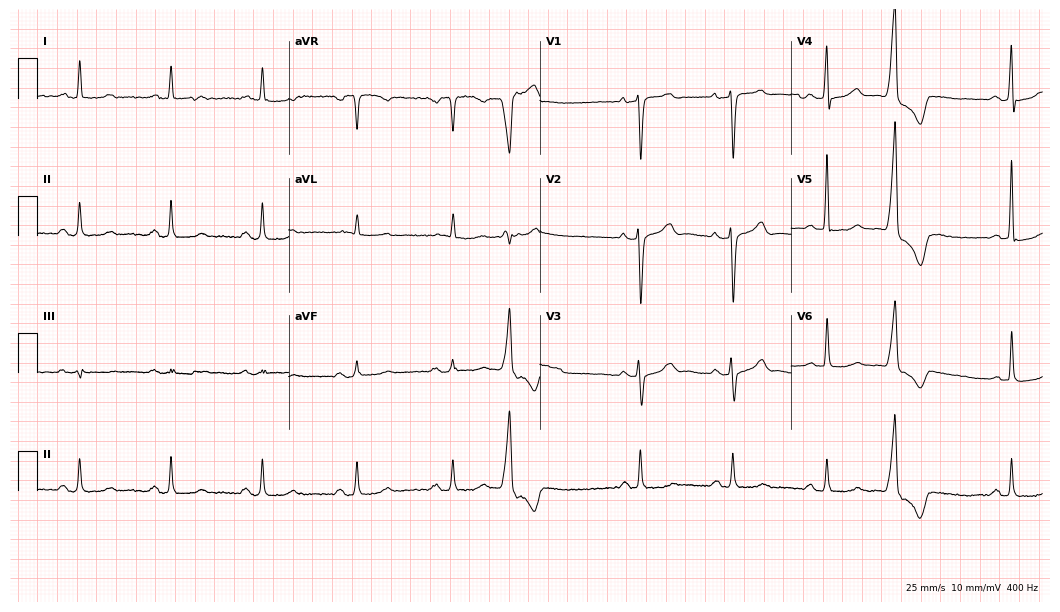
Electrocardiogram, a man, 72 years old. Of the six screened findings (first-degree AV block, right bundle branch block (RBBB), left bundle branch block (LBBB), sinus bradycardia, atrial fibrillation (AF), sinus tachycardia), none is recorded. Other findings, if any, are not listed.